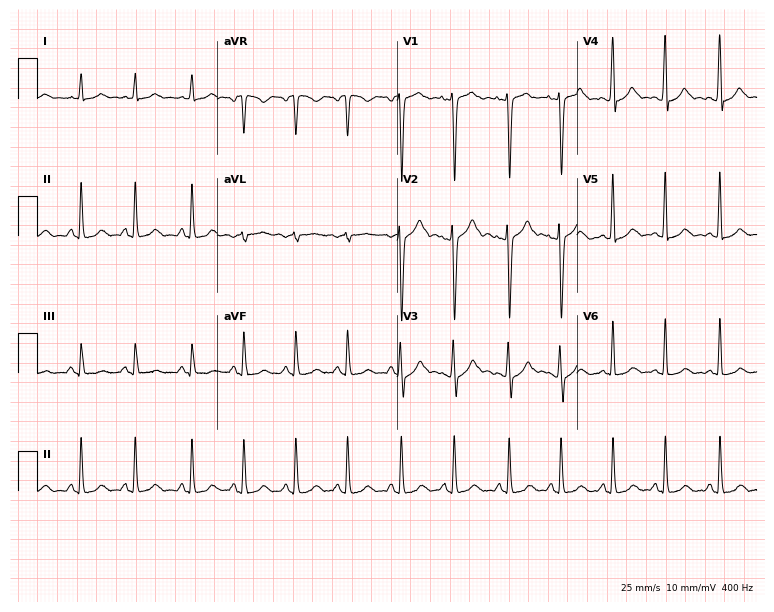
12-lead ECG (7.3-second recording at 400 Hz) from a female, 26 years old. Findings include sinus tachycardia (a sinus rate of 100 beats per minute or more).